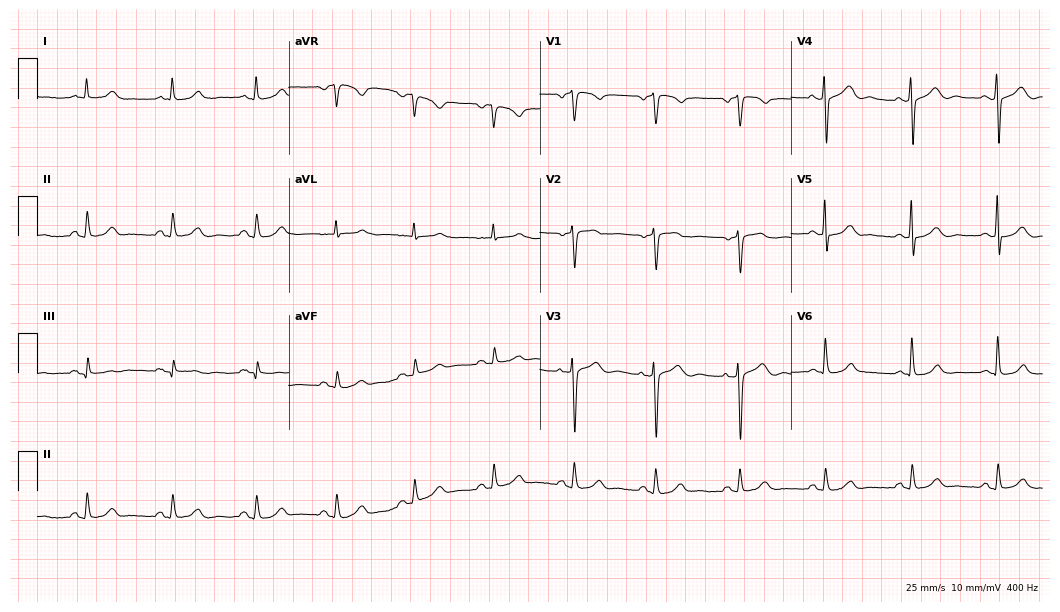
ECG (10.2-second recording at 400 Hz) — a male patient, 71 years old. Labelled as a normal ECG.